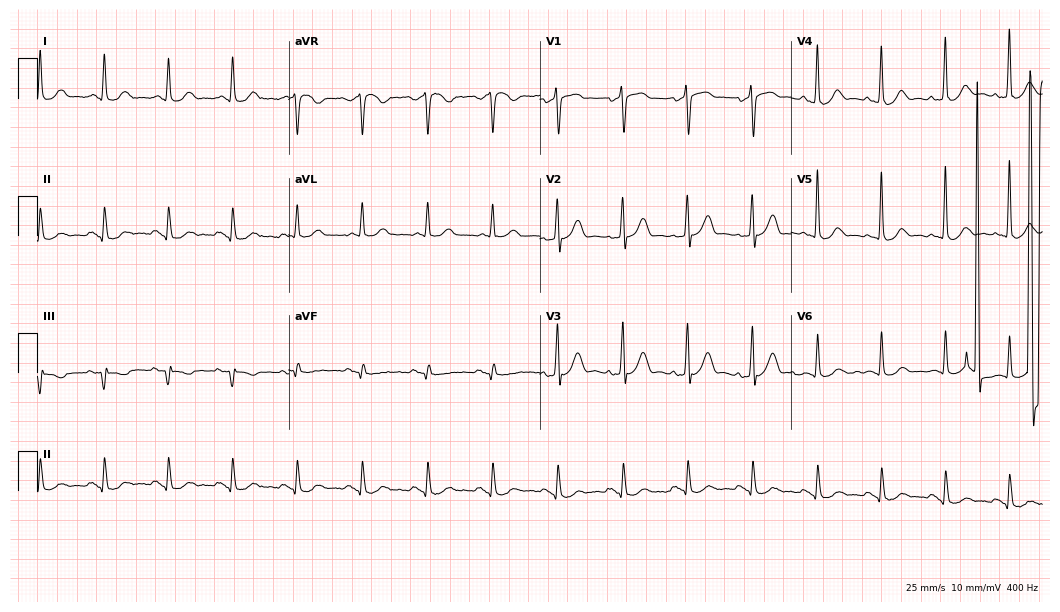
12-lead ECG from a man, 59 years old. Recorded interpretation: within normal limits.